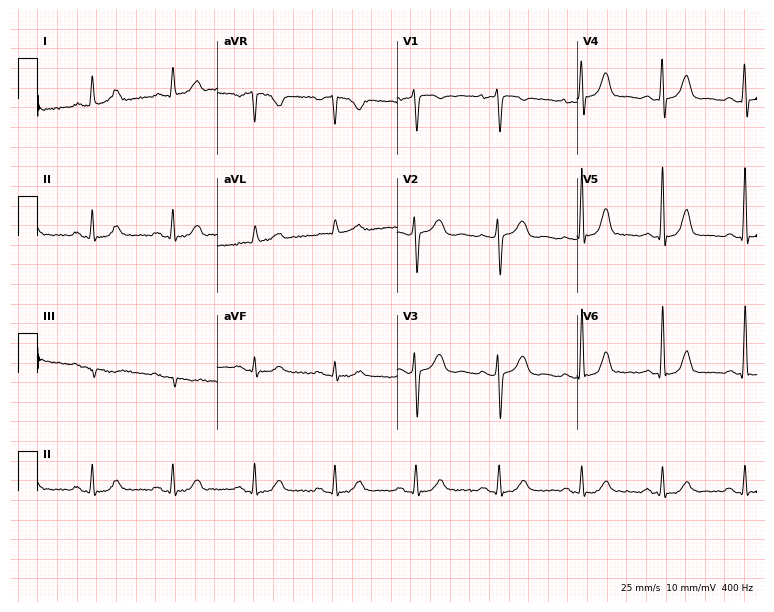
12-lead ECG (7.3-second recording at 400 Hz) from a 71-year-old female patient. Screened for six findings — first-degree AV block, right bundle branch block, left bundle branch block, sinus bradycardia, atrial fibrillation, sinus tachycardia — none is recorded. Only these six findings were labelled.